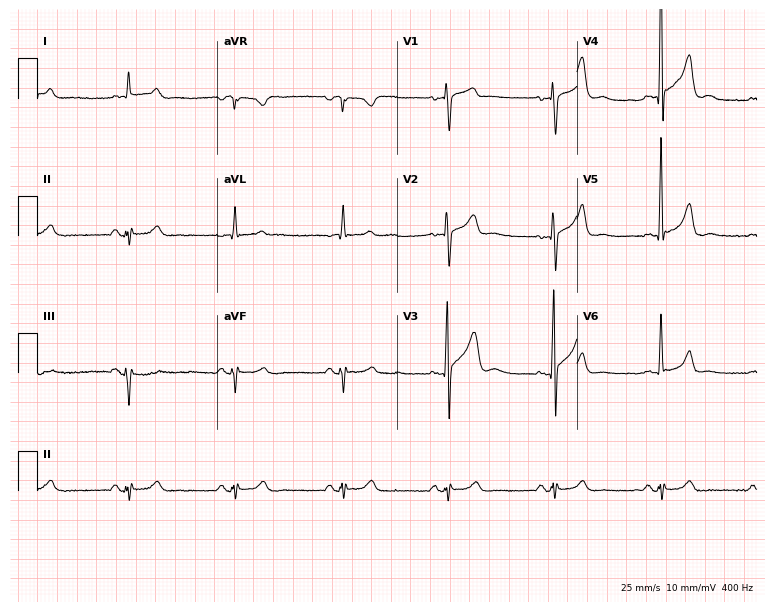
12-lead ECG from a male, 63 years old. Screened for six findings — first-degree AV block, right bundle branch block, left bundle branch block, sinus bradycardia, atrial fibrillation, sinus tachycardia — none is recorded.